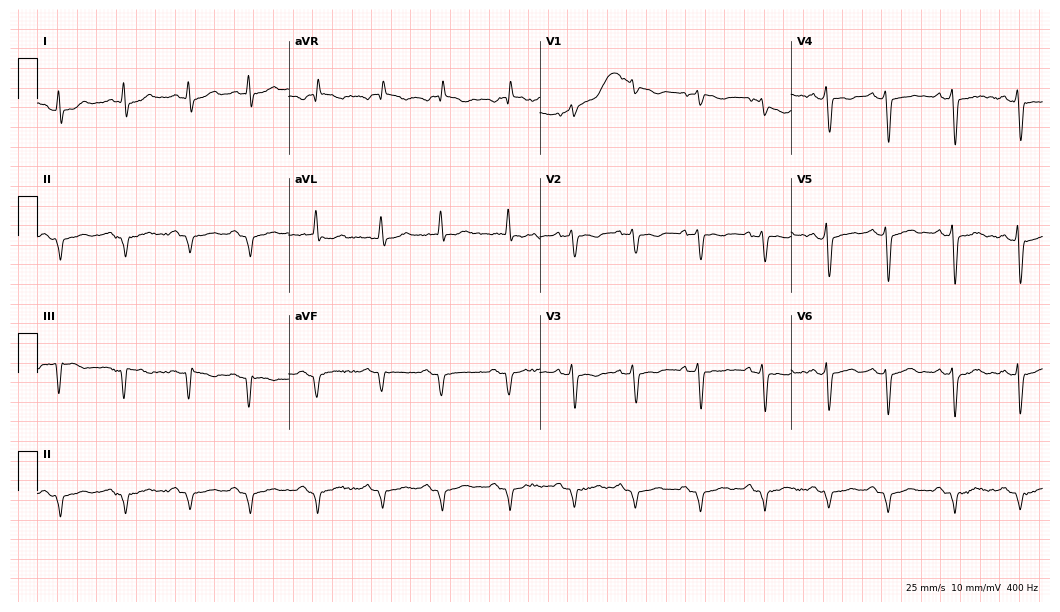
Standard 12-lead ECG recorded from a 76-year-old male (10.2-second recording at 400 Hz). None of these six findings is recorded: first-degree AV block, right bundle branch block, left bundle branch block, sinus bradycardia, atrial fibrillation, sinus tachycardia. Other findings, if any, are not listed.